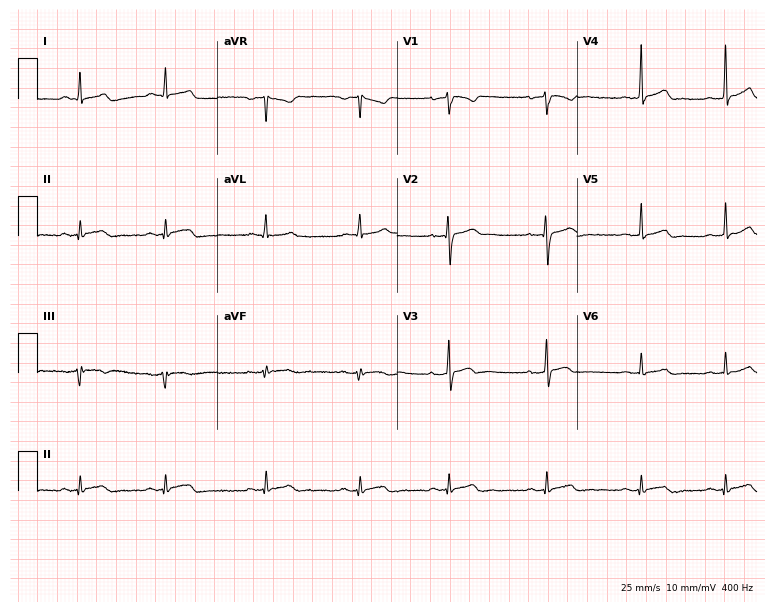
Resting 12-lead electrocardiogram. Patient: a 21-year-old male. Read as a normal ECG.